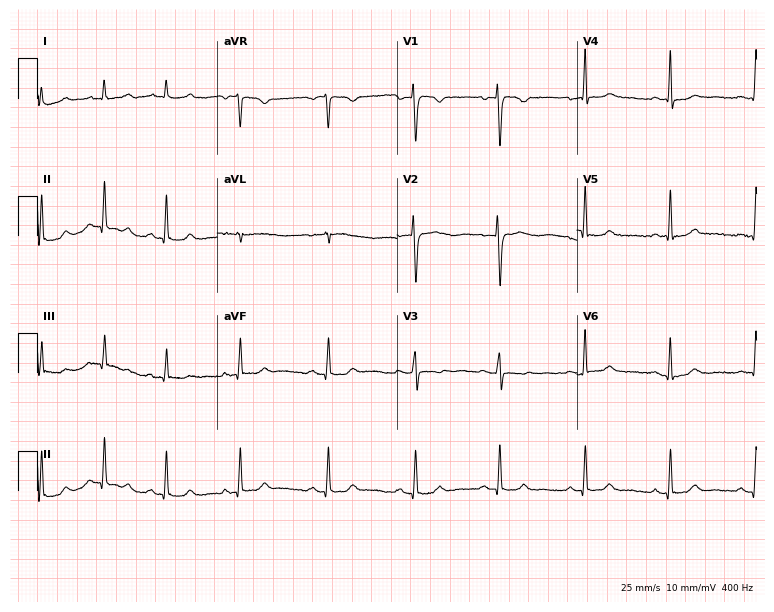
ECG (7.3-second recording at 400 Hz) — a 26-year-old female patient. Labelled as a normal ECG.